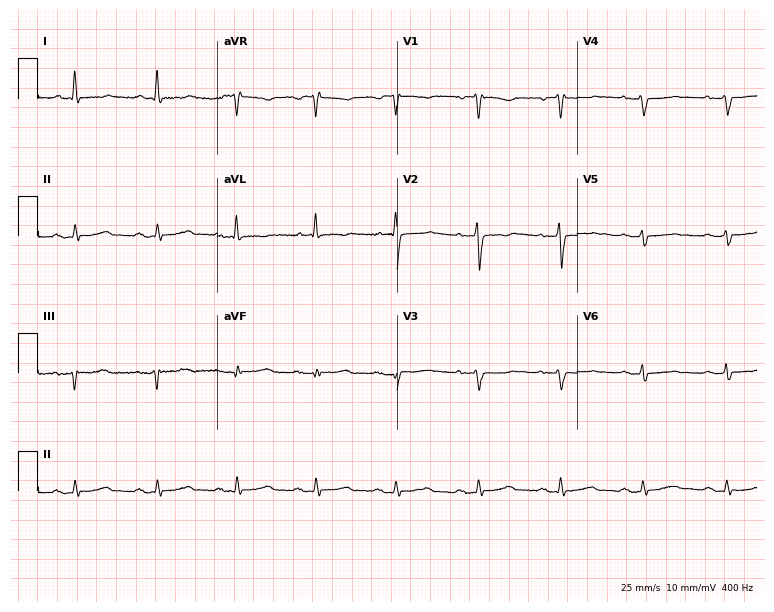
12-lead ECG (7.3-second recording at 400 Hz) from a 73-year-old female. Screened for six findings — first-degree AV block, right bundle branch block, left bundle branch block, sinus bradycardia, atrial fibrillation, sinus tachycardia — none is recorded.